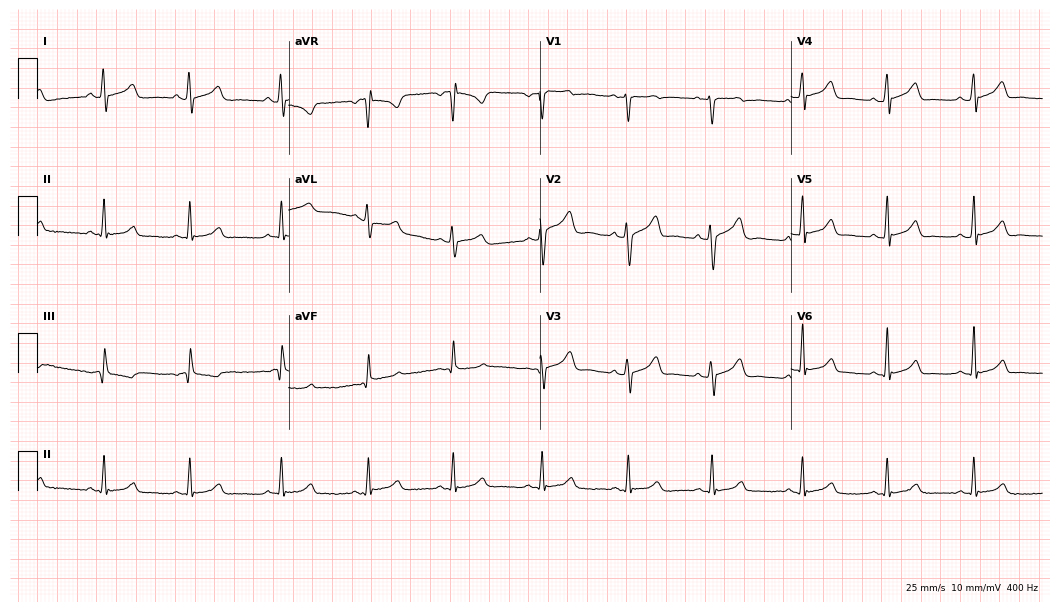
ECG (10.2-second recording at 400 Hz) — a 25-year-old female patient. Screened for six findings — first-degree AV block, right bundle branch block, left bundle branch block, sinus bradycardia, atrial fibrillation, sinus tachycardia — none is recorded.